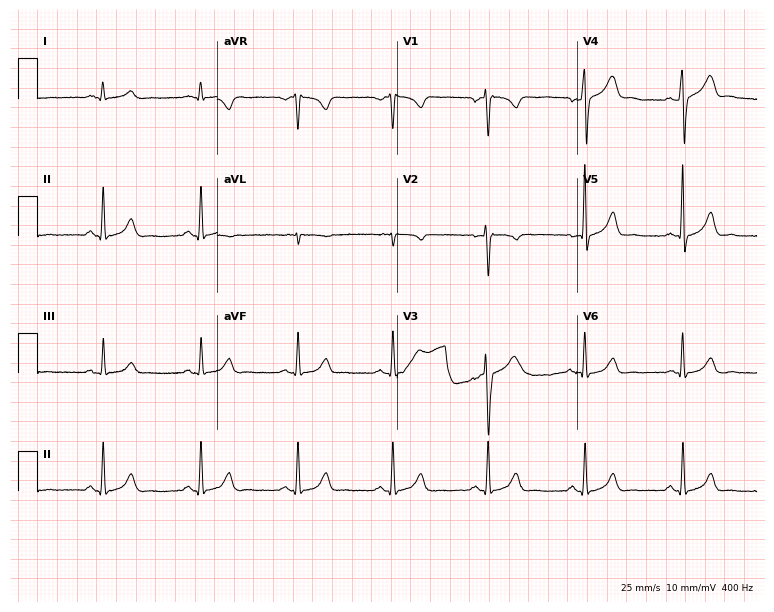
12-lead ECG from a male patient, 49 years old (7.3-second recording at 400 Hz). Recorded interpretation: within normal limits.